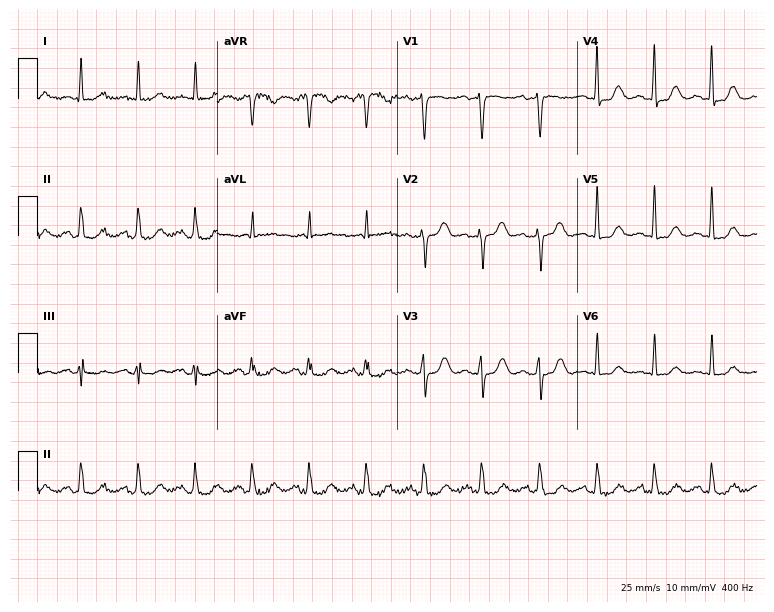
ECG — a male, 62 years old. Findings include sinus tachycardia (a sinus rate of 100 beats per minute or more).